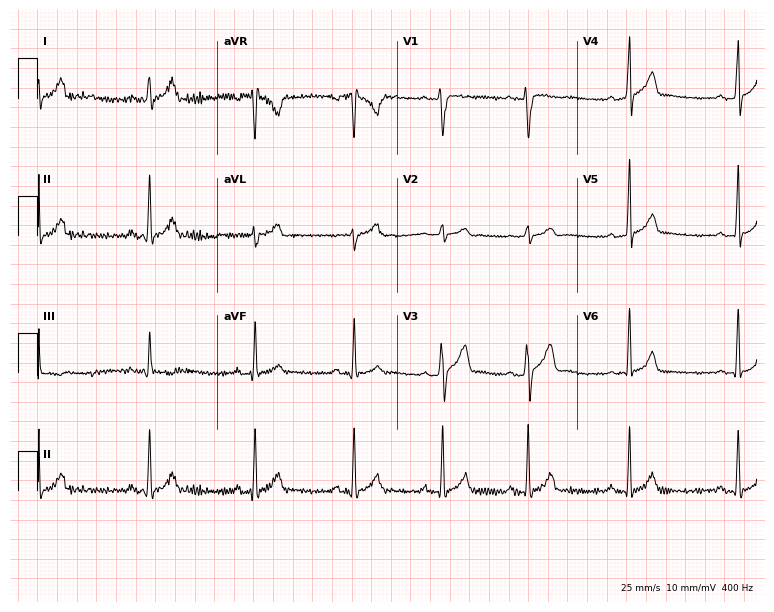
ECG (7.3-second recording at 400 Hz) — a 17-year-old man. Labelled as a normal ECG.